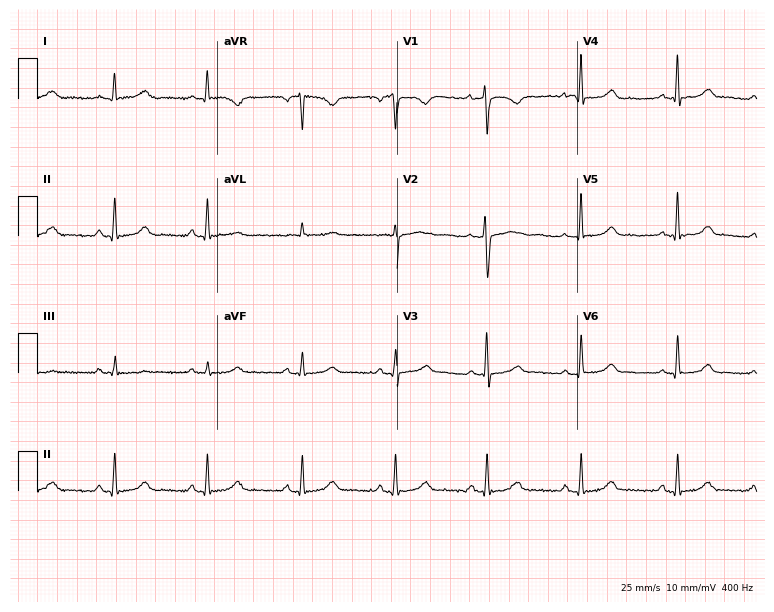
ECG — a 50-year-old female. Labelled as a normal ECG.